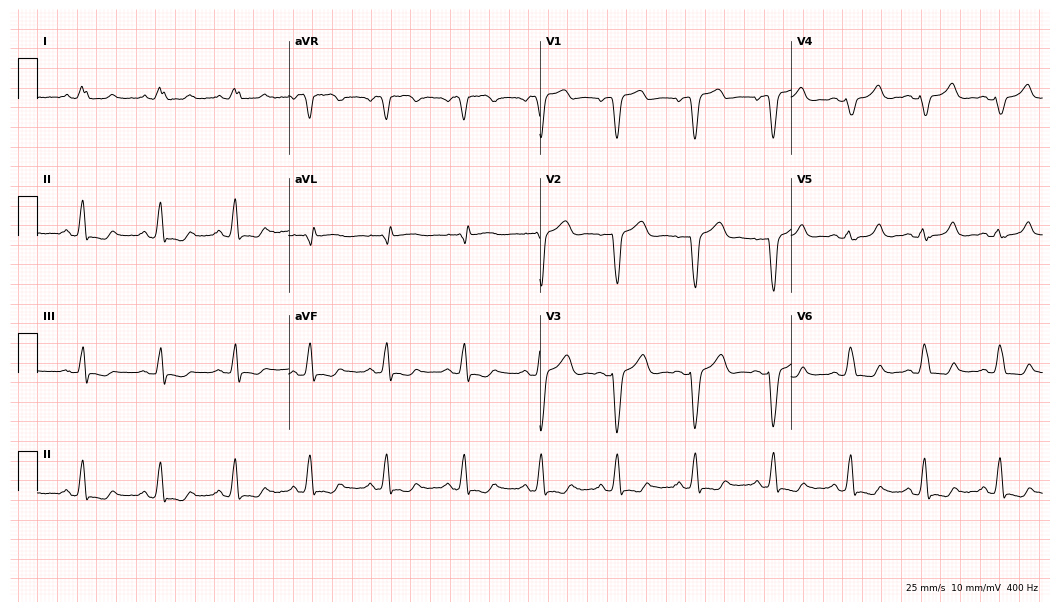
12-lead ECG from a 75-year-old woman (10.2-second recording at 400 Hz). Shows left bundle branch block.